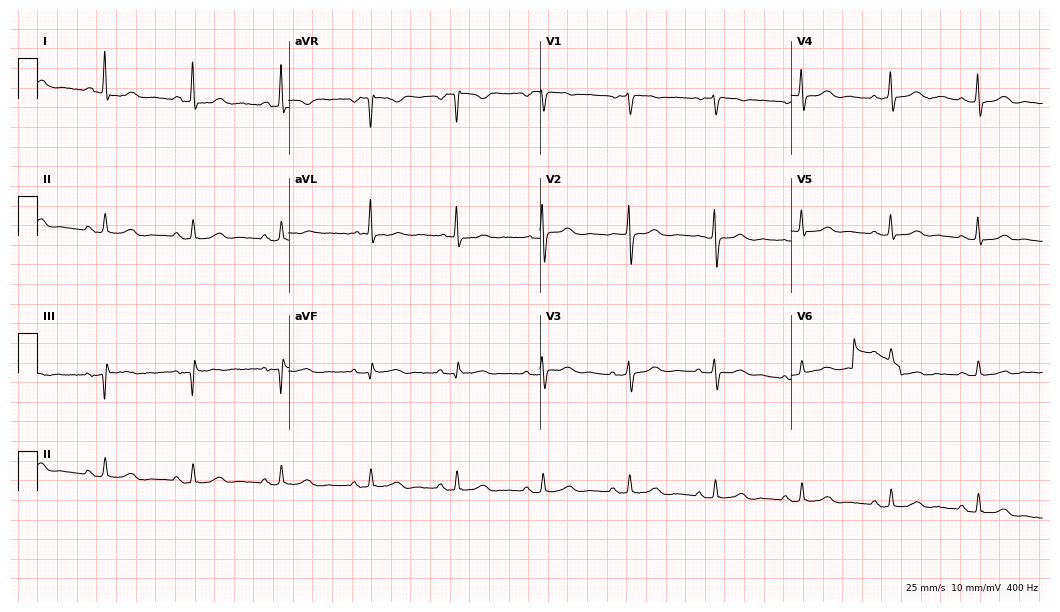
12-lead ECG (10.2-second recording at 400 Hz) from a 79-year-old female patient. Labelled as a normal ECG.